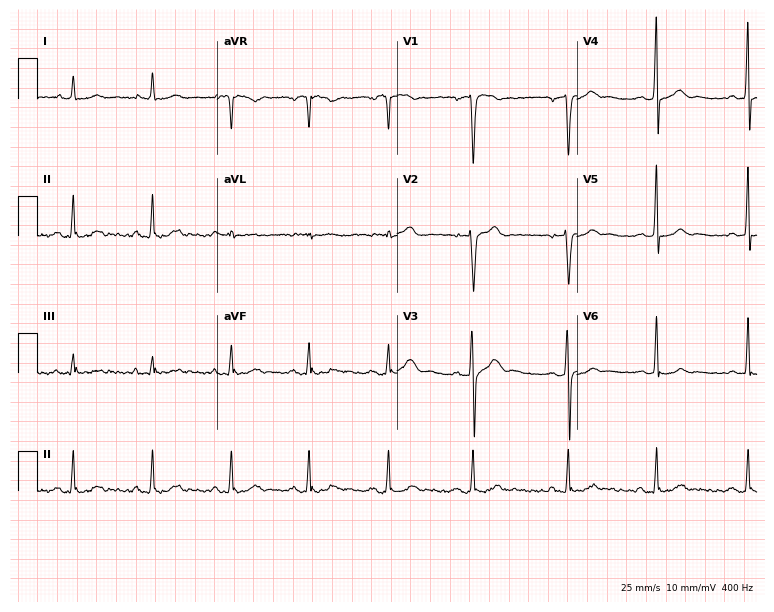
12-lead ECG (7.3-second recording at 400 Hz) from a 29-year-old man. Labelled as a normal ECG.